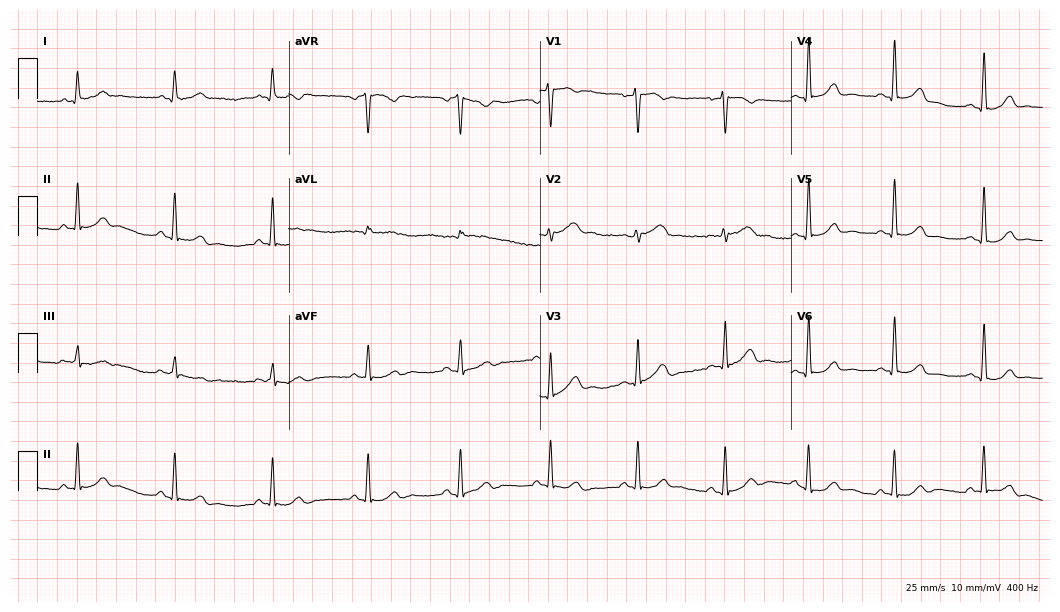
Resting 12-lead electrocardiogram (10.2-second recording at 400 Hz). Patient: a male, 47 years old. None of these six findings is recorded: first-degree AV block, right bundle branch block, left bundle branch block, sinus bradycardia, atrial fibrillation, sinus tachycardia.